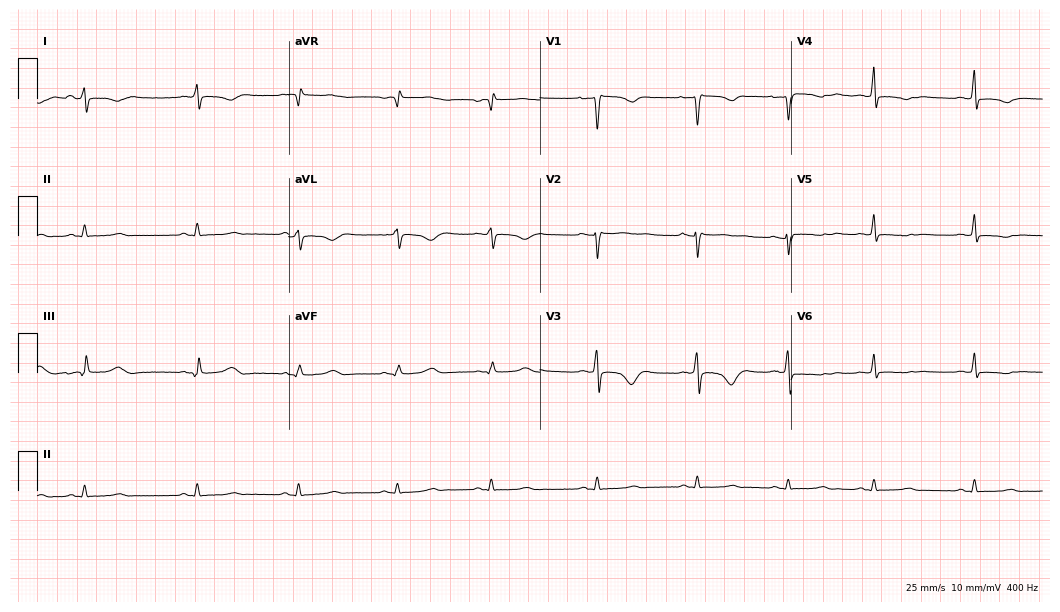
Standard 12-lead ECG recorded from a 27-year-old woman (10.2-second recording at 400 Hz). None of these six findings is recorded: first-degree AV block, right bundle branch block (RBBB), left bundle branch block (LBBB), sinus bradycardia, atrial fibrillation (AF), sinus tachycardia. Findings outside these six are not listed.